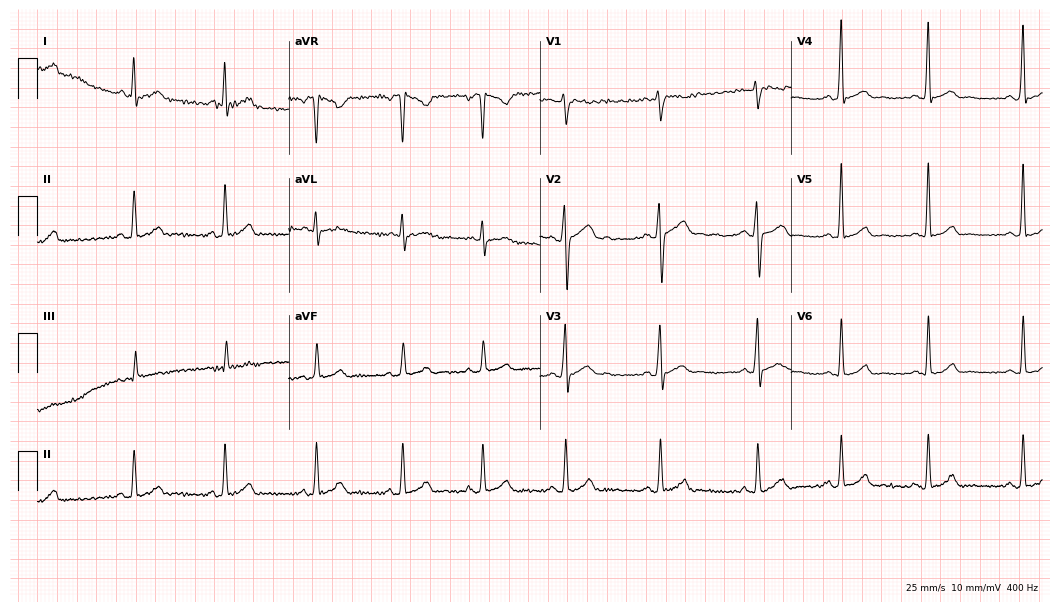
Resting 12-lead electrocardiogram (10.2-second recording at 400 Hz). Patient: a 22-year-old male. None of these six findings is recorded: first-degree AV block, right bundle branch block (RBBB), left bundle branch block (LBBB), sinus bradycardia, atrial fibrillation (AF), sinus tachycardia. Findings outside these six are not listed.